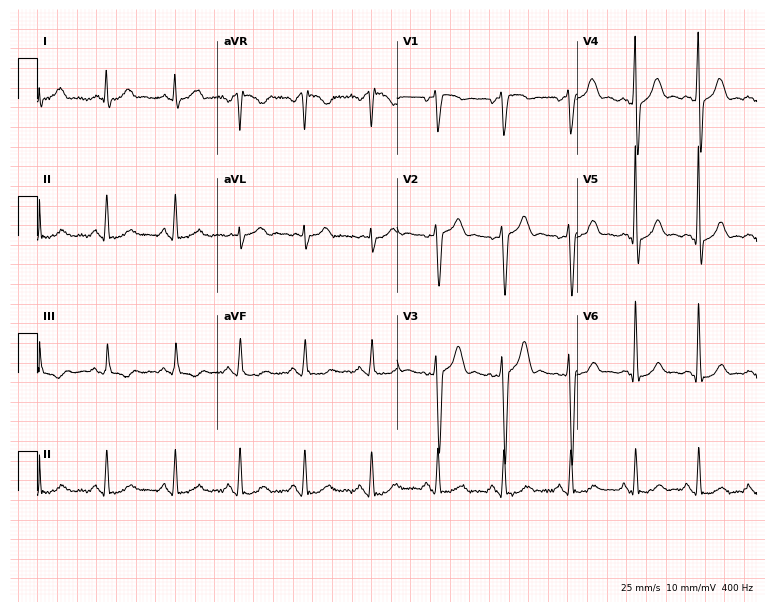
ECG — a man, 40 years old. Labelled as a normal ECG.